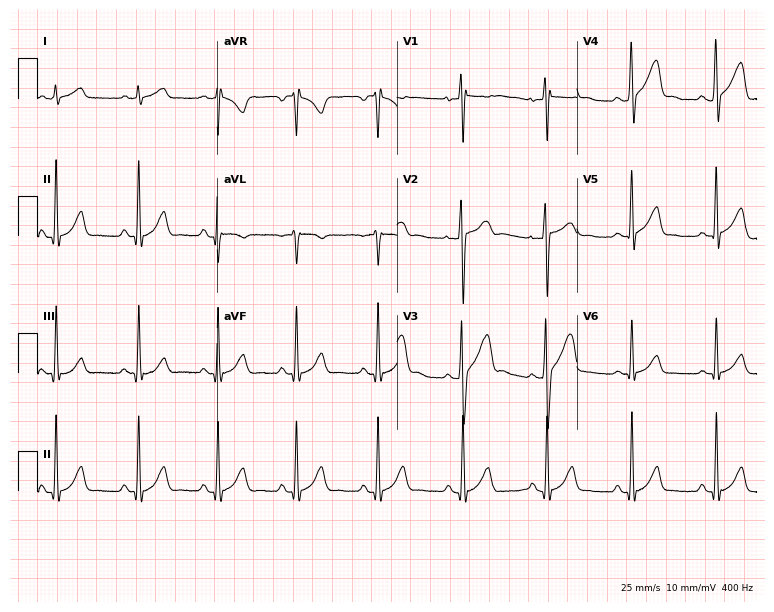
12-lead ECG from a man, 37 years old. No first-degree AV block, right bundle branch block (RBBB), left bundle branch block (LBBB), sinus bradycardia, atrial fibrillation (AF) or sinus tachycardia recorded for this tracing. Findings outside these six are not listed.